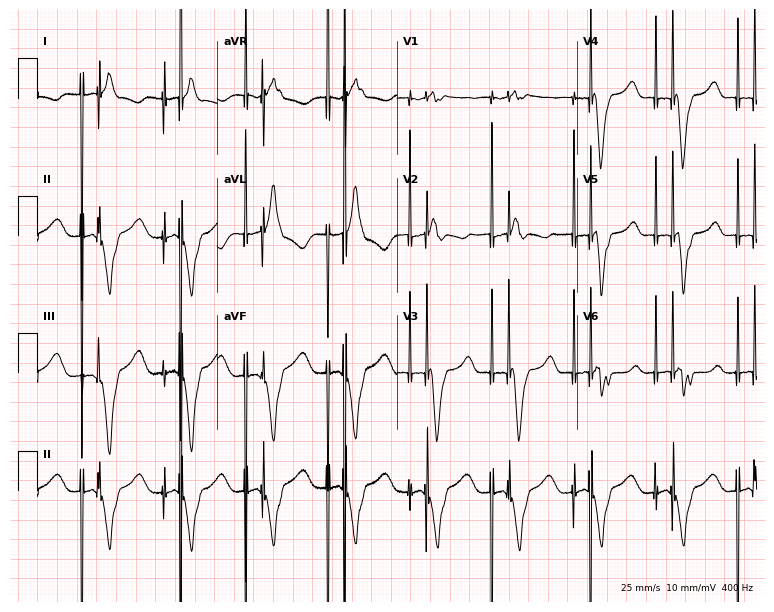
12-lead ECG (7.3-second recording at 400 Hz) from a woman, 65 years old. Screened for six findings — first-degree AV block, right bundle branch block, left bundle branch block, sinus bradycardia, atrial fibrillation, sinus tachycardia — none is recorded.